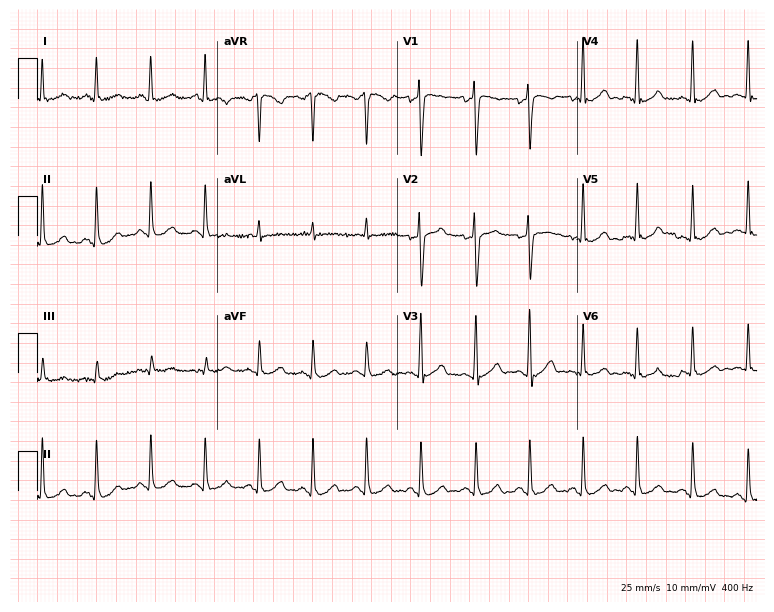
12-lead ECG from a female patient, 25 years old. Shows sinus tachycardia (a sinus rate of 100 beats per minute or more).